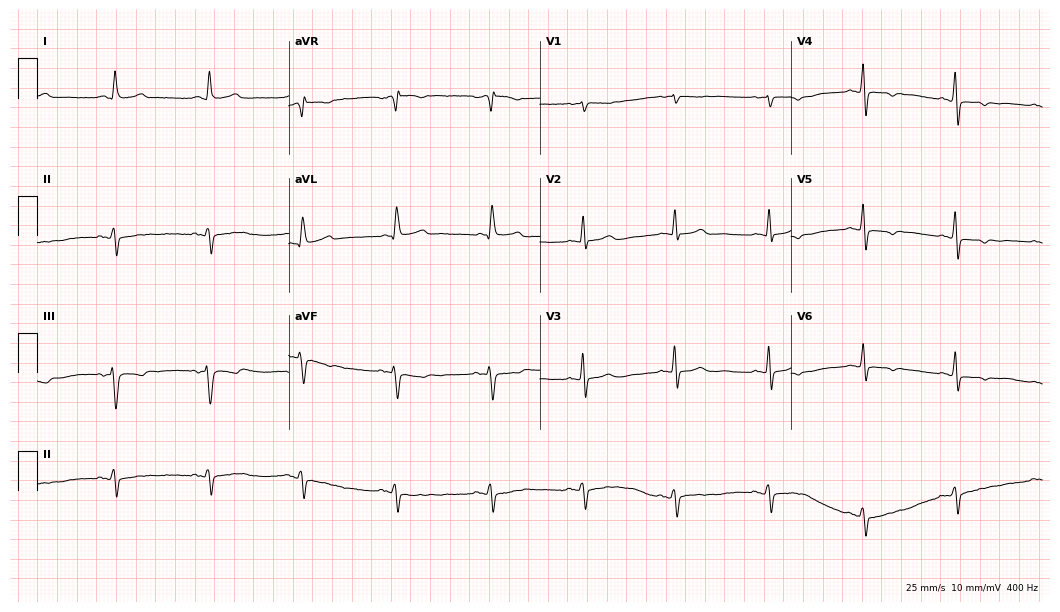
Electrocardiogram, a 74-year-old woman. Of the six screened findings (first-degree AV block, right bundle branch block (RBBB), left bundle branch block (LBBB), sinus bradycardia, atrial fibrillation (AF), sinus tachycardia), none is recorded.